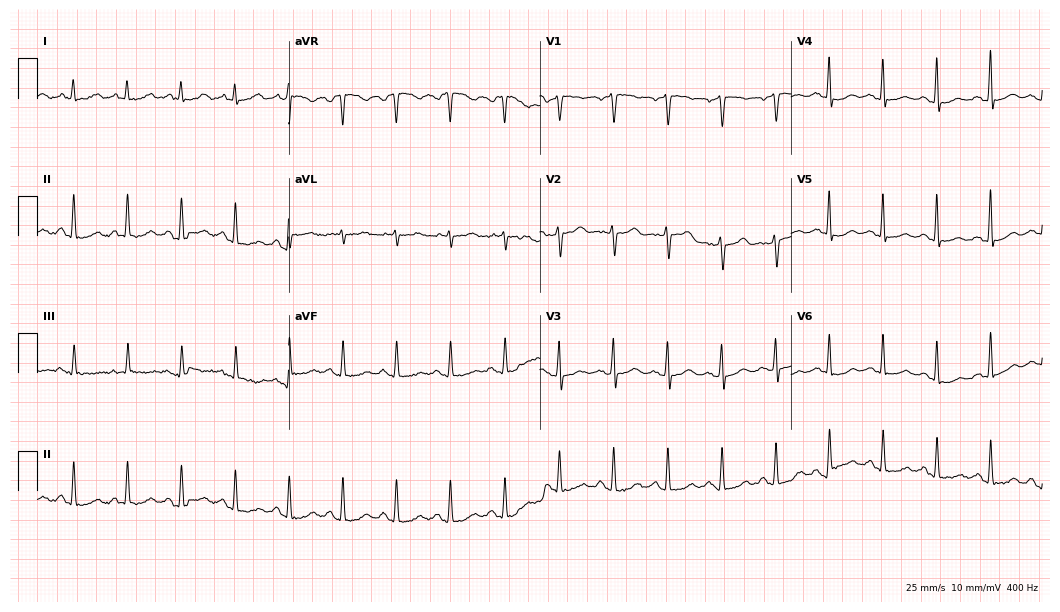
Electrocardiogram, a 38-year-old female patient. Of the six screened findings (first-degree AV block, right bundle branch block (RBBB), left bundle branch block (LBBB), sinus bradycardia, atrial fibrillation (AF), sinus tachycardia), none is recorded.